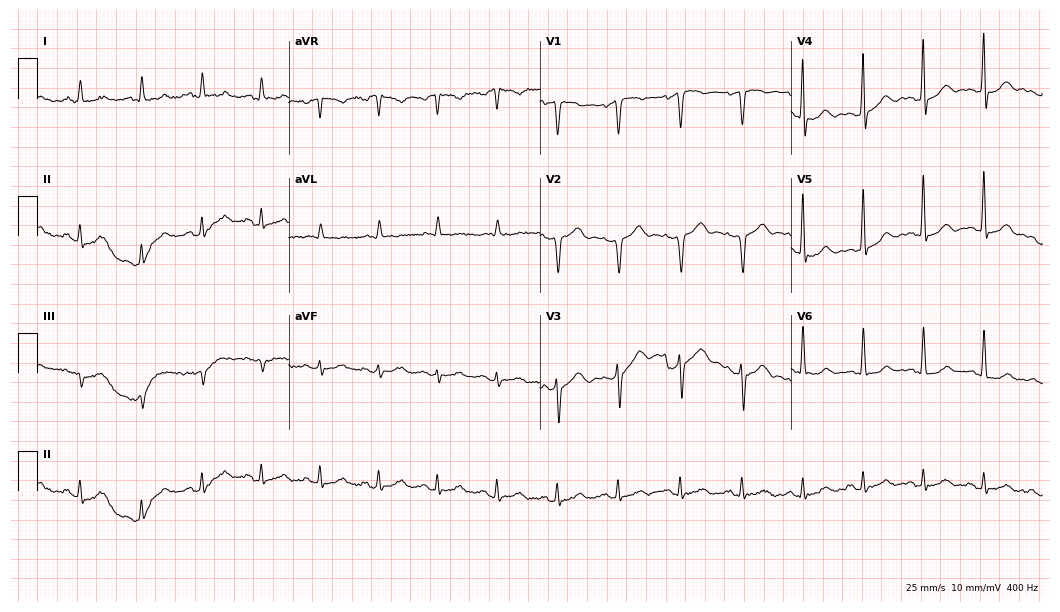
12-lead ECG from a 69-year-old male (10.2-second recording at 400 Hz). Recorded interpretation: within normal limits.